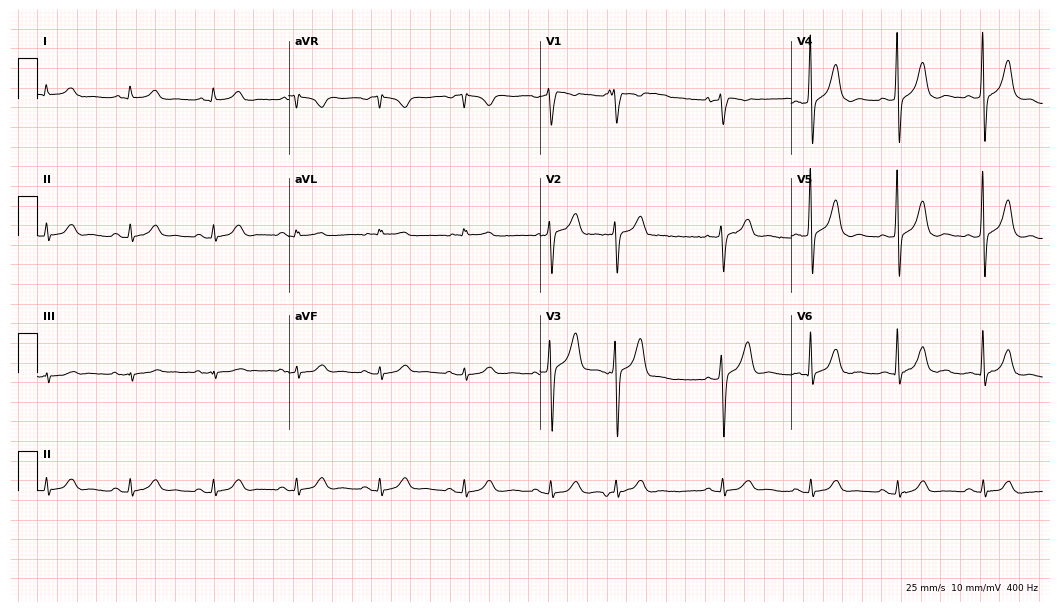
Electrocardiogram (10.2-second recording at 400 Hz), a male patient, 69 years old. Overall reading on record: normal ECG.